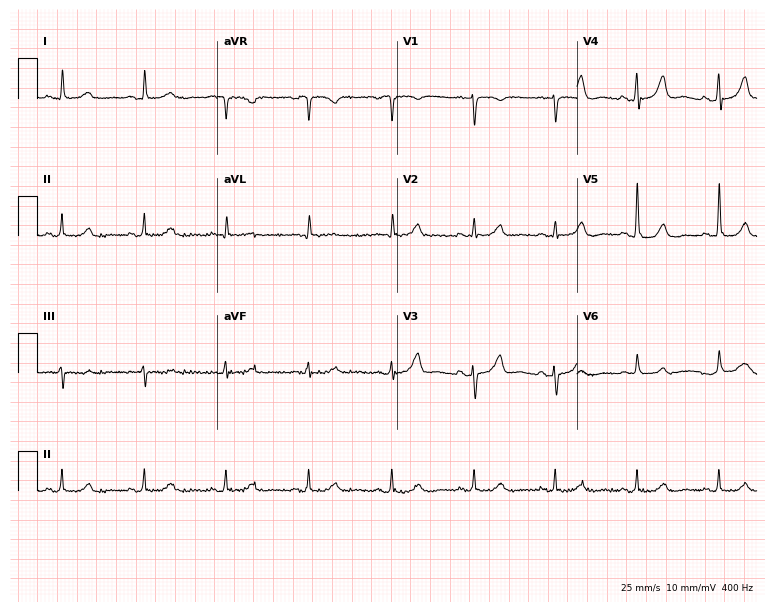
Electrocardiogram (7.3-second recording at 400 Hz), a 72-year-old female patient. Overall reading on record: normal ECG.